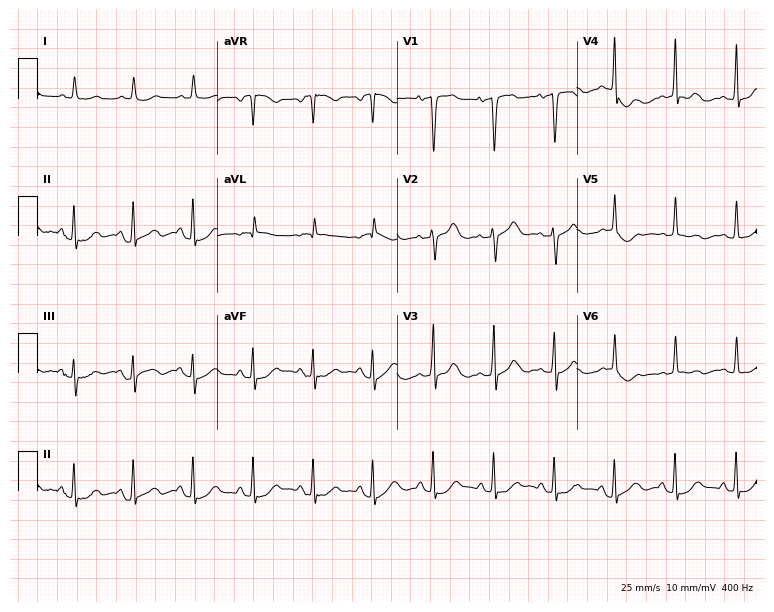
Standard 12-lead ECG recorded from a woman, 82 years old. None of these six findings is recorded: first-degree AV block, right bundle branch block (RBBB), left bundle branch block (LBBB), sinus bradycardia, atrial fibrillation (AF), sinus tachycardia. Only these six findings were labelled.